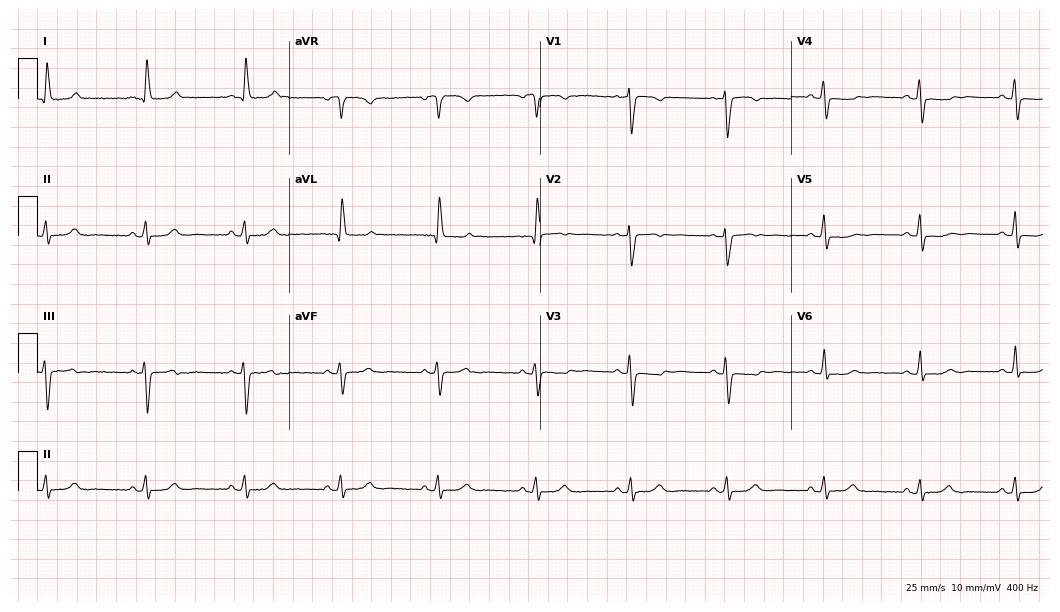
12-lead ECG from a woman, 58 years old (10.2-second recording at 400 Hz). No first-degree AV block, right bundle branch block, left bundle branch block, sinus bradycardia, atrial fibrillation or sinus tachycardia recorded for this tracing. Findings outside these six are not listed.